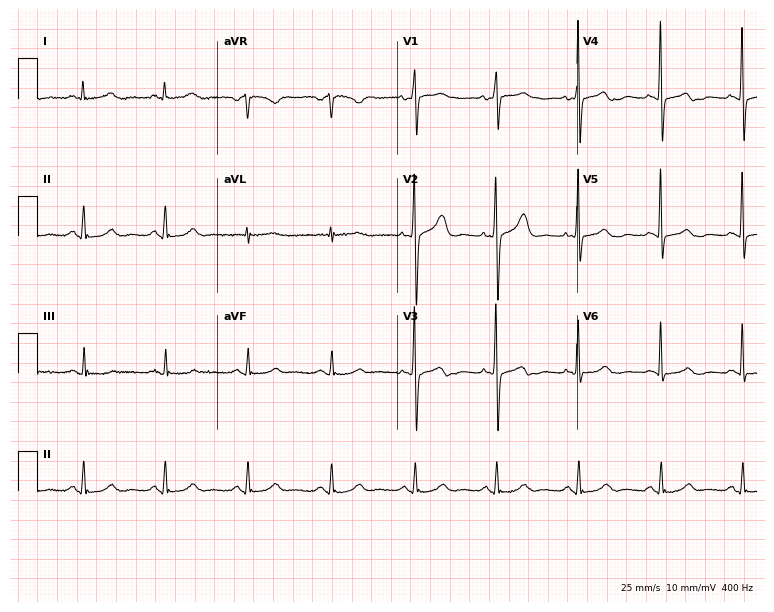
12-lead ECG from a 72-year-old woman. Labelled as a normal ECG.